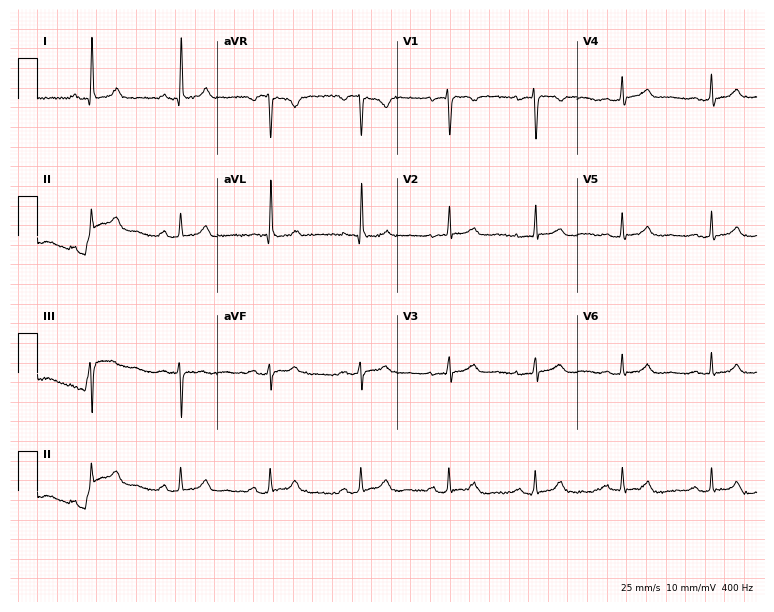
Electrocardiogram, a female patient, 53 years old. Overall reading on record: normal ECG.